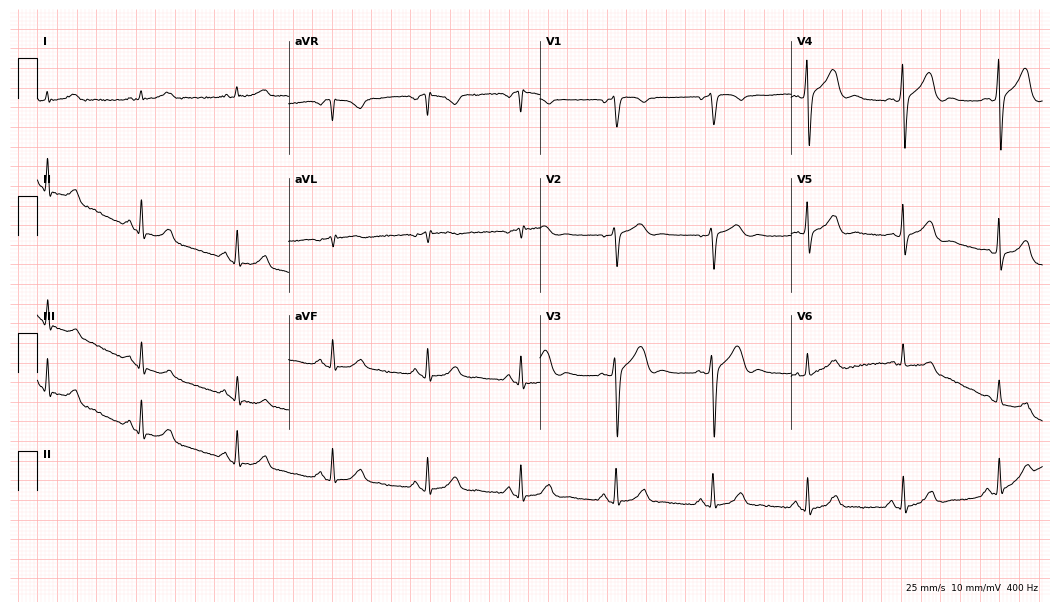
12-lead ECG from a 61-year-old male patient. No first-degree AV block, right bundle branch block, left bundle branch block, sinus bradycardia, atrial fibrillation or sinus tachycardia recorded for this tracing. Findings outside these six are not listed.